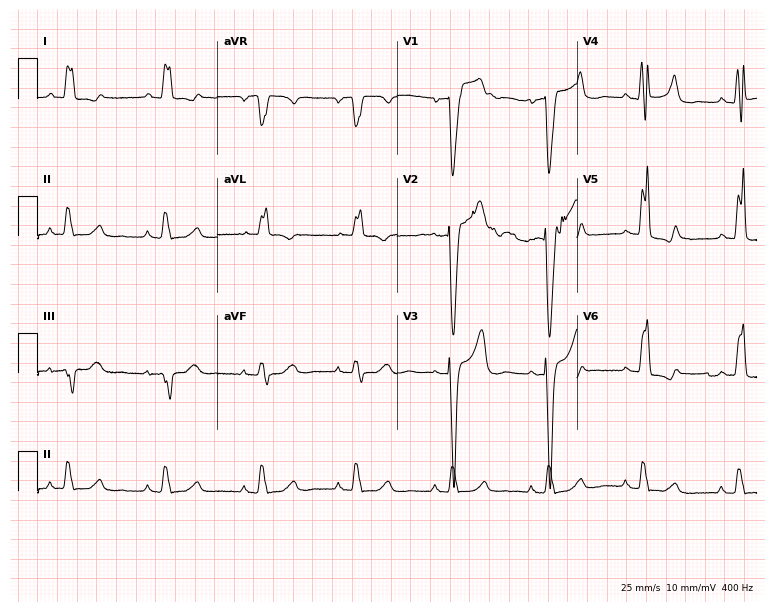
ECG (7.3-second recording at 400 Hz) — a 77-year-old woman. Findings include left bundle branch block.